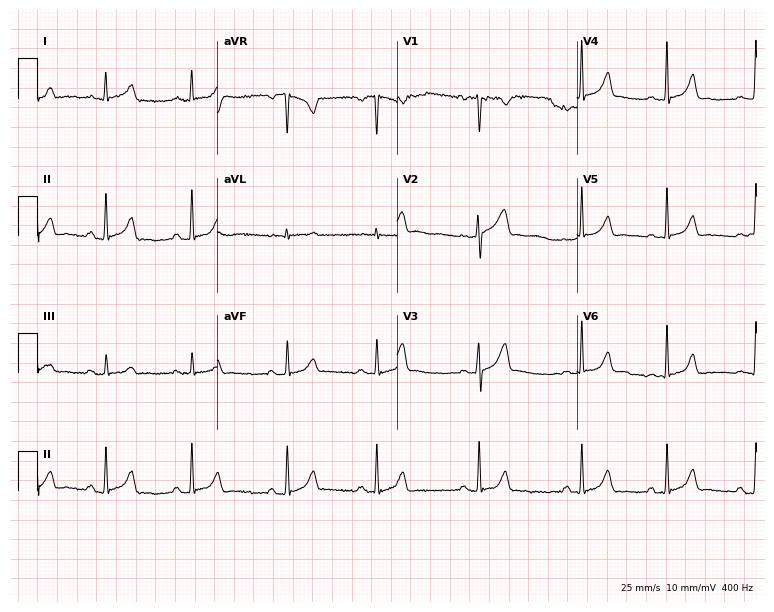
Electrocardiogram, a female, 28 years old. Overall reading on record: normal ECG.